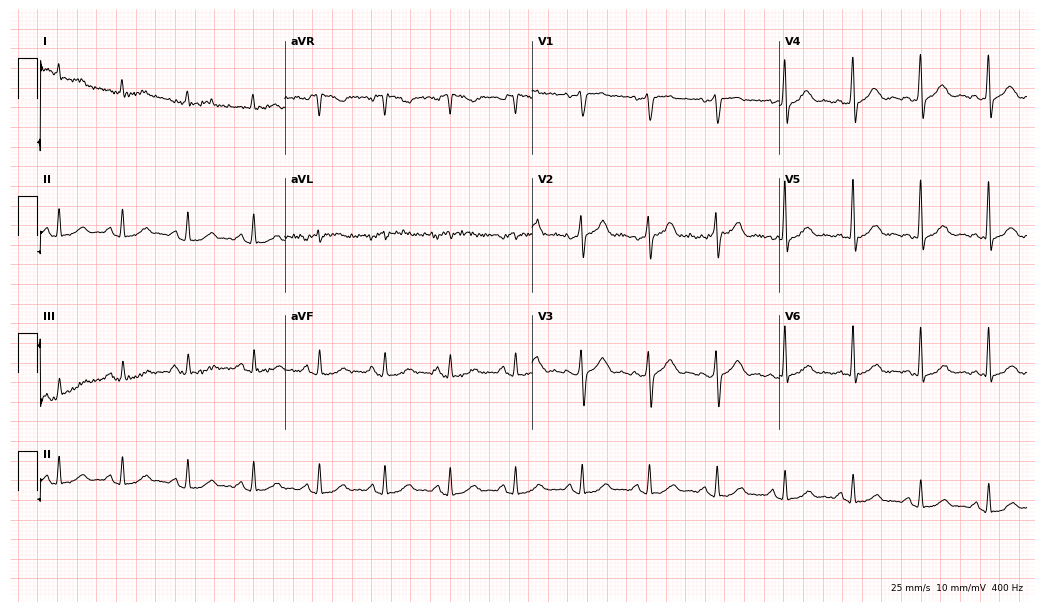
Resting 12-lead electrocardiogram (10.1-second recording at 400 Hz). Patient: a male, 62 years old. Read as a normal ECG.